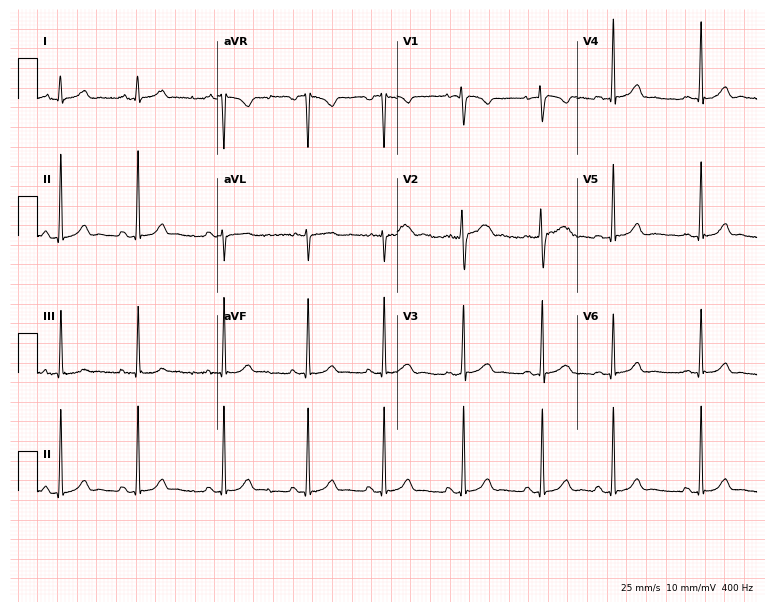
Electrocardiogram, a female patient, 20 years old. Overall reading on record: normal ECG.